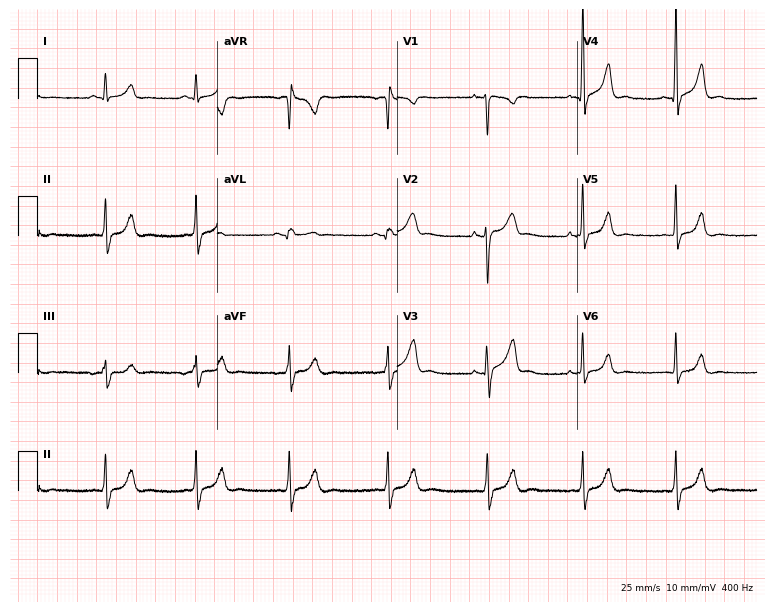
Resting 12-lead electrocardiogram (7.3-second recording at 400 Hz). Patient: a 20-year-old male. Read as a normal ECG.